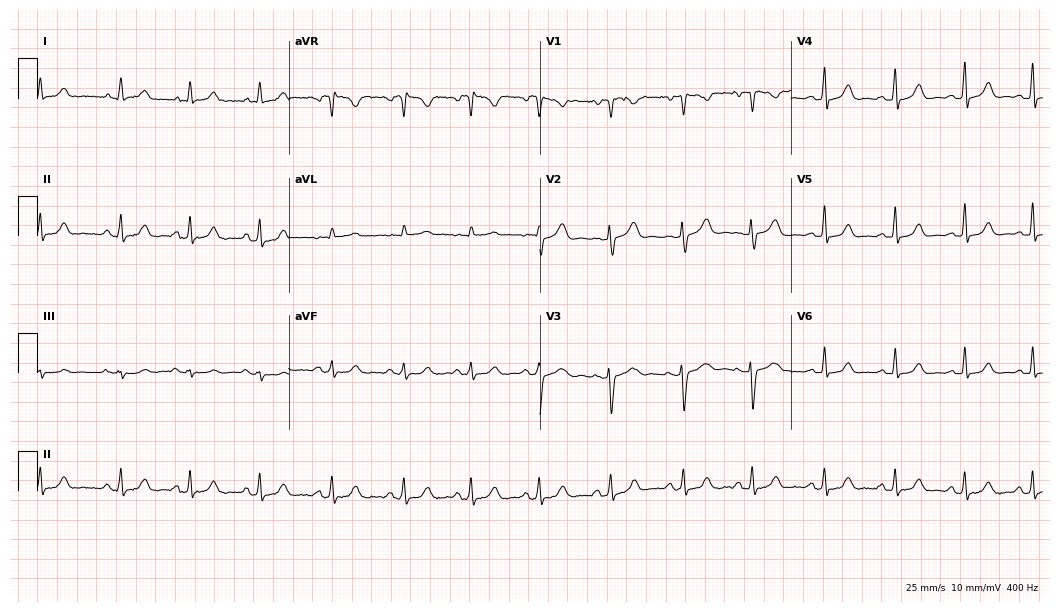
12-lead ECG (10.2-second recording at 400 Hz) from a 27-year-old female patient. Labelled as a normal ECG.